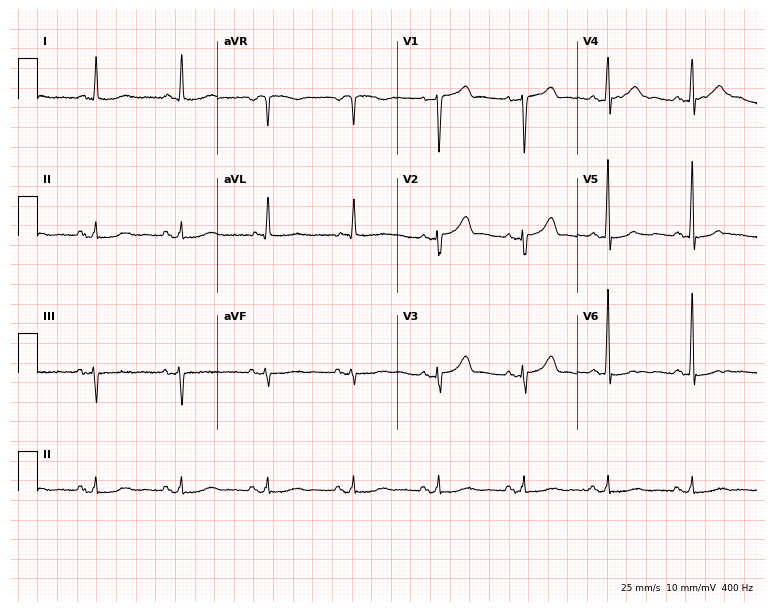
Resting 12-lead electrocardiogram (7.3-second recording at 400 Hz). Patient: a male, 72 years old. None of these six findings is recorded: first-degree AV block, right bundle branch block, left bundle branch block, sinus bradycardia, atrial fibrillation, sinus tachycardia. Only these six findings were labelled.